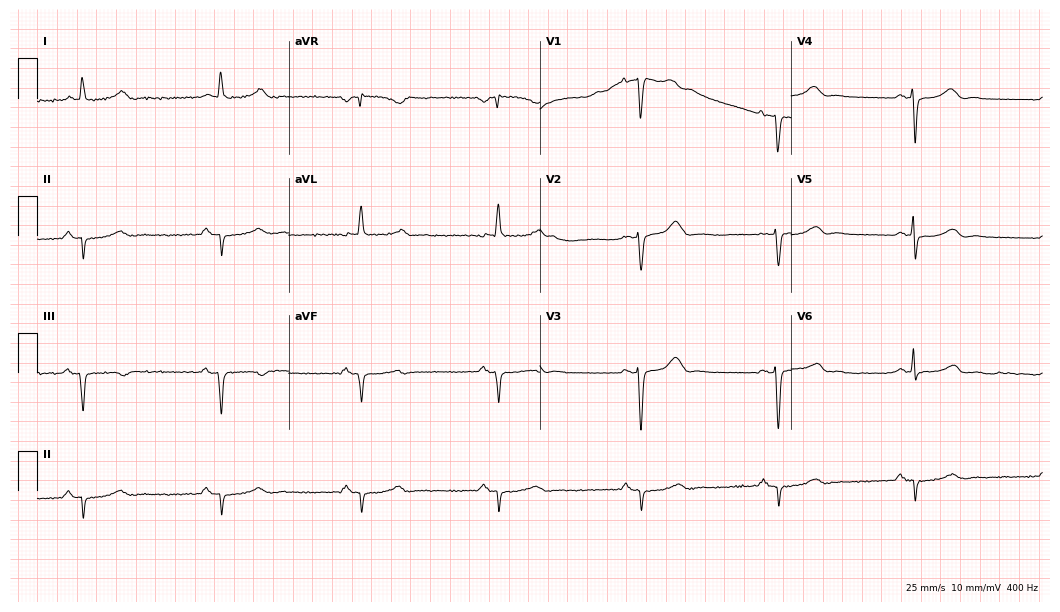
ECG (10.2-second recording at 400 Hz) — a 55-year-old female patient. Screened for six findings — first-degree AV block, right bundle branch block (RBBB), left bundle branch block (LBBB), sinus bradycardia, atrial fibrillation (AF), sinus tachycardia — none is recorded.